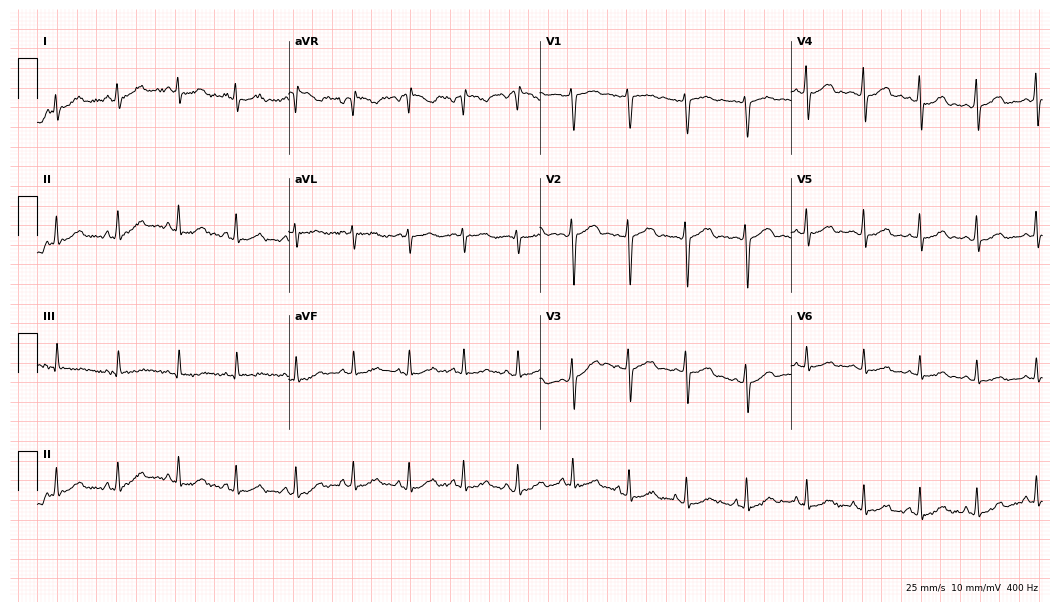
Standard 12-lead ECG recorded from a female patient, 25 years old. None of these six findings is recorded: first-degree AV block, right bundle branch block (RBBB), left bundle branch block (LBBB), sinus bradycardia, atrial fibrillation (AF), sinus tachycardia. Other findings, if any, are not listed.